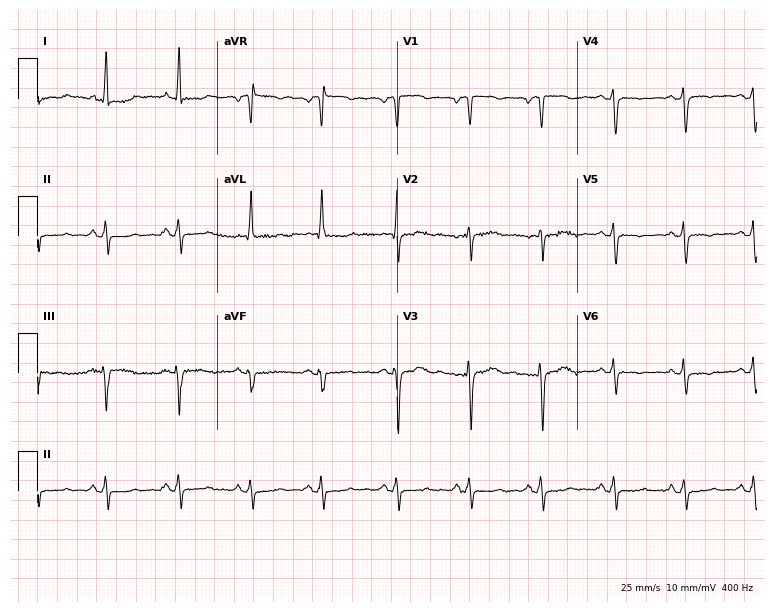
12-lead ECG from a female patient, 55 years old (7.3-second recording at 400 Hz). No first-degree AV block, right bundle branch block (RBBB), left bundle branch block (LBBB), sinus bradycardia, atrial fibrillation (AF) or sinus tachycardia recorded for this tracing. Findings outside these six are not listed.